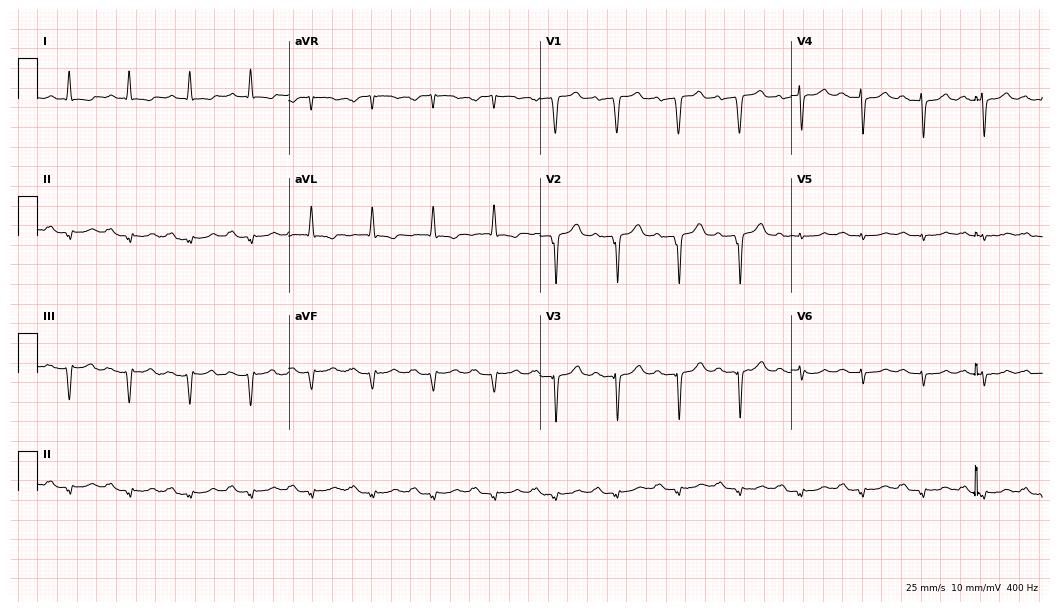
12-lead ECG (10.2-second recording at 400 Hz) from a male patient, 68 years old. Findings include first-degree AV block.